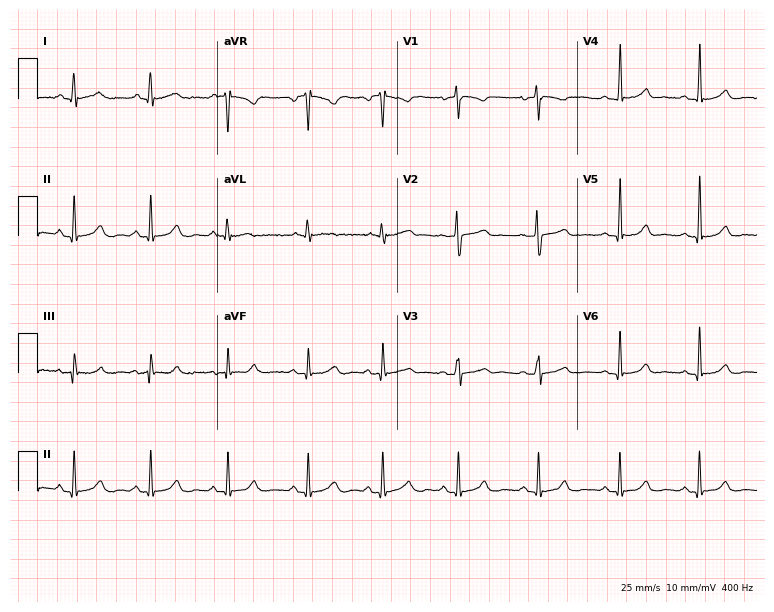
Standard 12-lead ECG recorded from a 24-year-old woman. Read as a normal ECG.